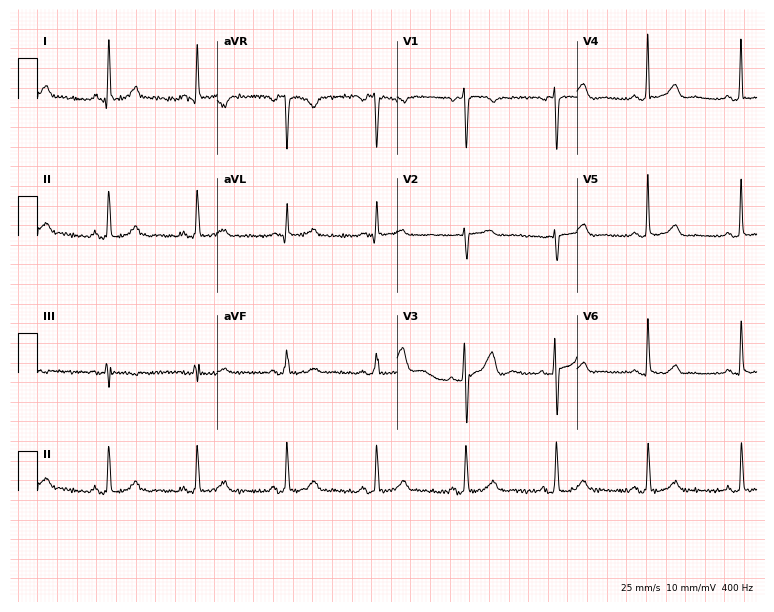
Standard 12-lead ECG recorded from a 49-year-old woman. None of these six findings is recorded: first-degree AV block, right bundle branch block, left bundle branch block, sinus bradycardia, atrial fibrillation, sinus tachycardia. Other findings, if any, are not listed.